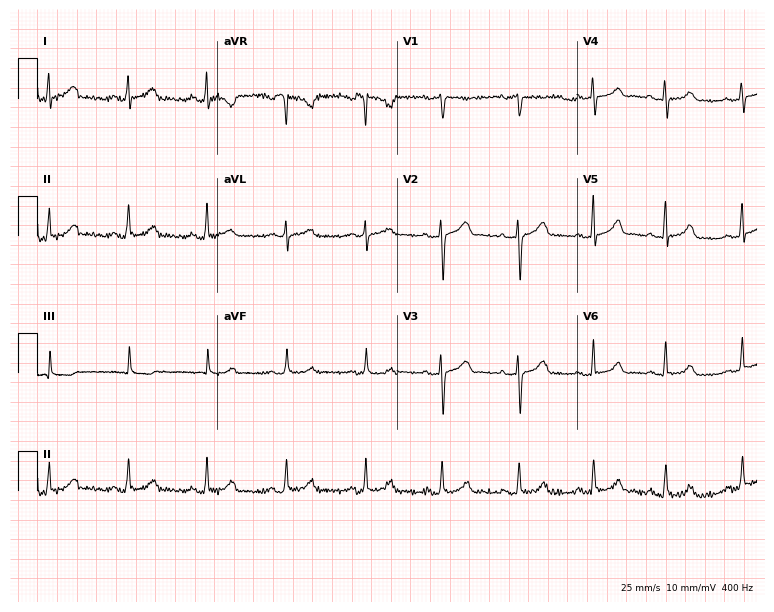
ECG — a female patient, 43 years old. Labelled as a normal ECG.